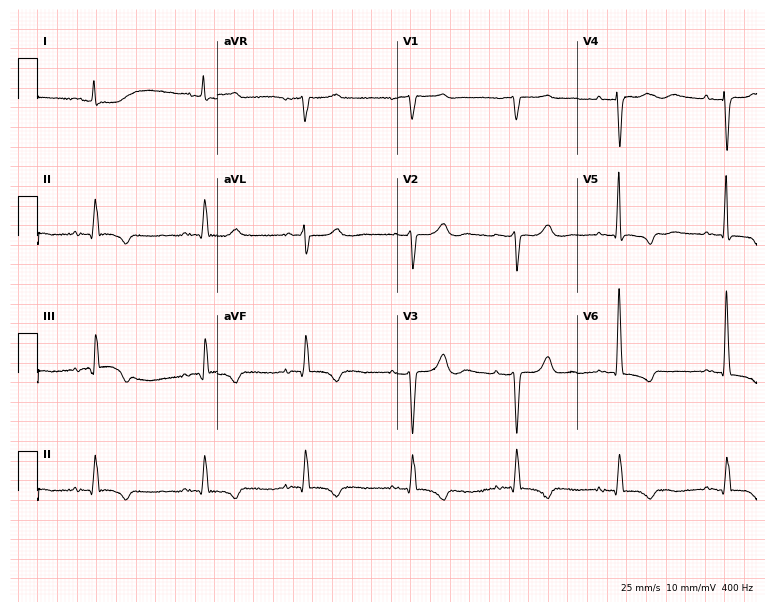
Electrocardiogram (7.3-second recording at 400 Hz), a 79-year-old woman. Of the six screened findings (first-degree AV block, right bundle branch block, left bundle branch block, sinus bradycardia, atrial fibrillation, sinus tachycardia), none is recorded.